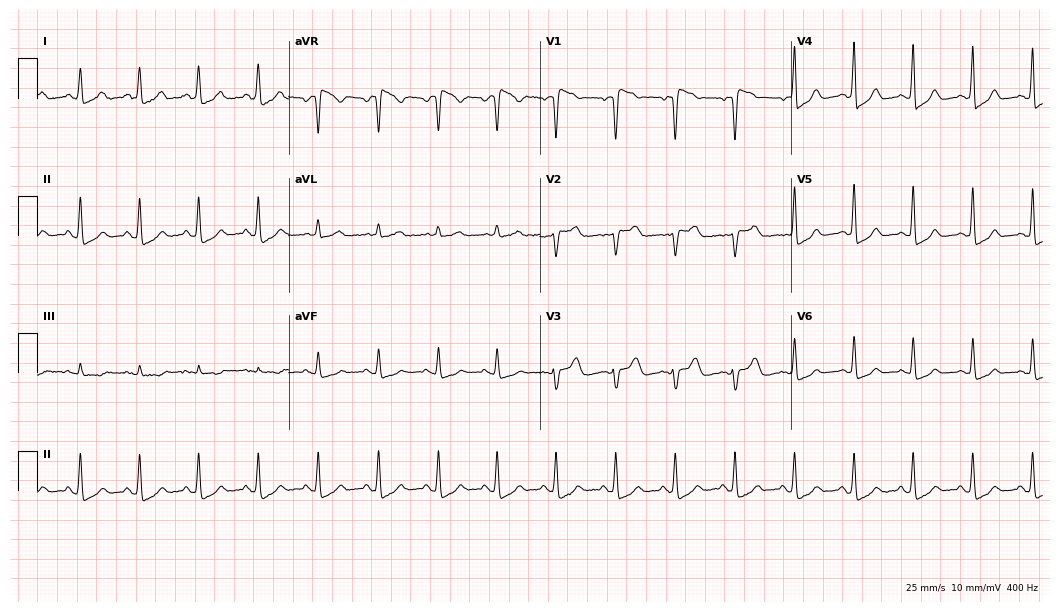
Resting 12-lead electrocardiogram (10.2-second recording at 400 Hz). Patient: a 47-year-old female. None of these six findings is recorded: first-degree AV block, right bundle branch block, left bundle branch block, sinus bradycardia, atrial fibrillation, sinus tachycardia. Only these six findings were labelled.